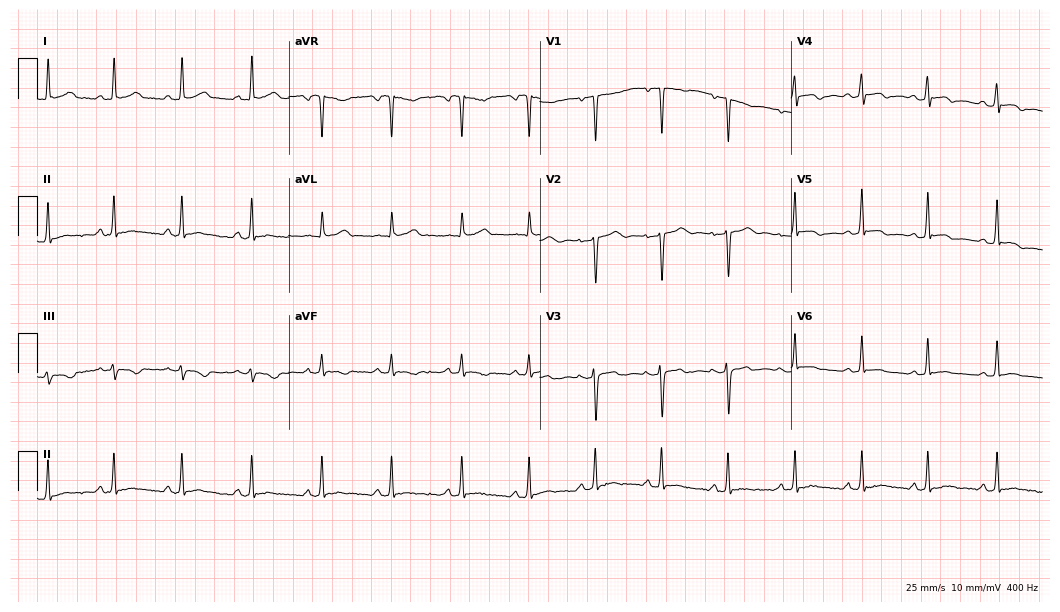
Resting 12-lead electrocardiogram (10.2-second recording at 400 Hz). Patient: a 45-year-old female. None of these six findings is recorded: first-degree AV block, right bundle branch block, left bundle branch block, sinus bradycardia, atrial fibrillation, sinus tachycardia.